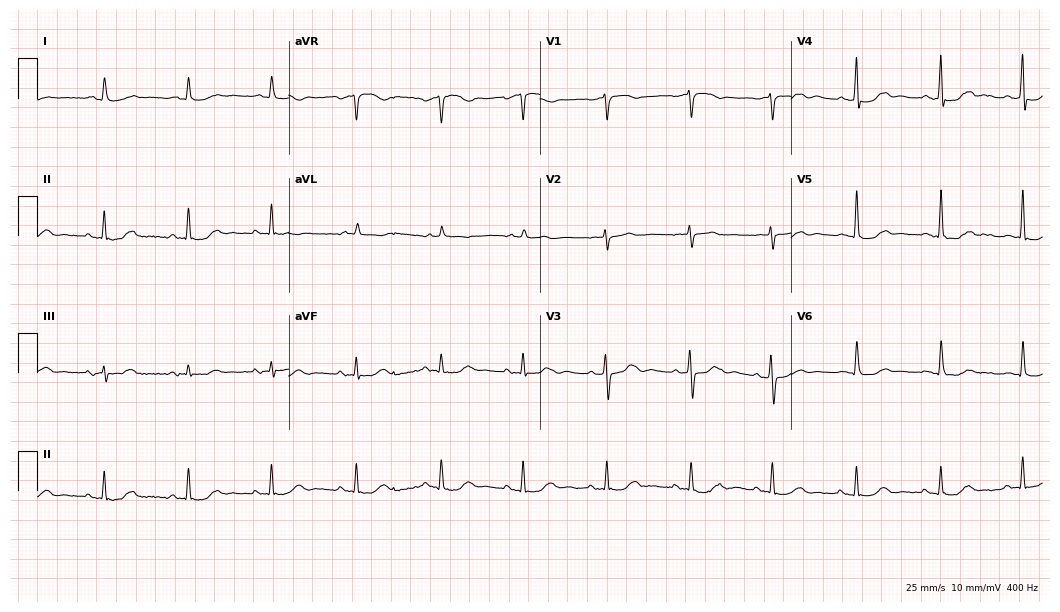
12-lead ECG (10.2-second recording at 400 Hz) from a male patient, 79 years old. Screened for six findings — first-degree AV block, right bundle branch block, left bundle branch block, sinus bradycardia, atrial fibrillation, sinus tachycardia — none is recorded. Findings outside these six are not listed.